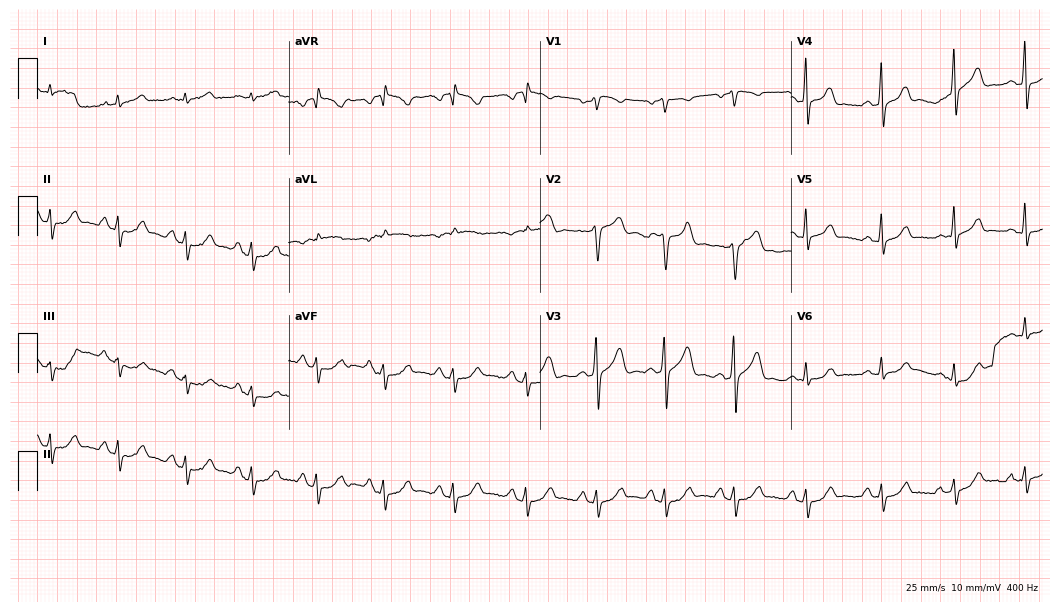
Standard 12-lead ECG recorded from a 46-year-old man. Read as a normal ECG.